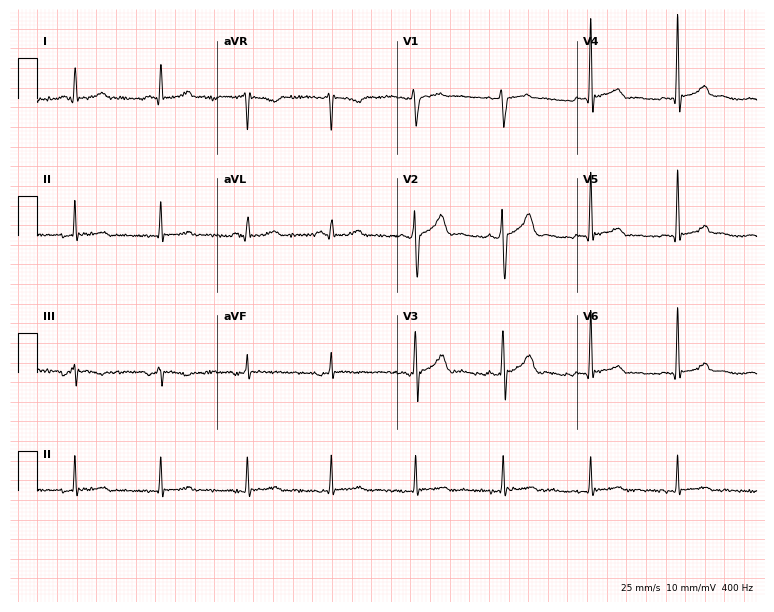
12-lead ECG from a man, 52 years old. Screened for six findings — first-degree AV block, right bundle branch block, left bundle branch block, sinus bradycardia, atrial fibrillation, sinus tachycardia — none is recorded. Findings outside these six are not listed.